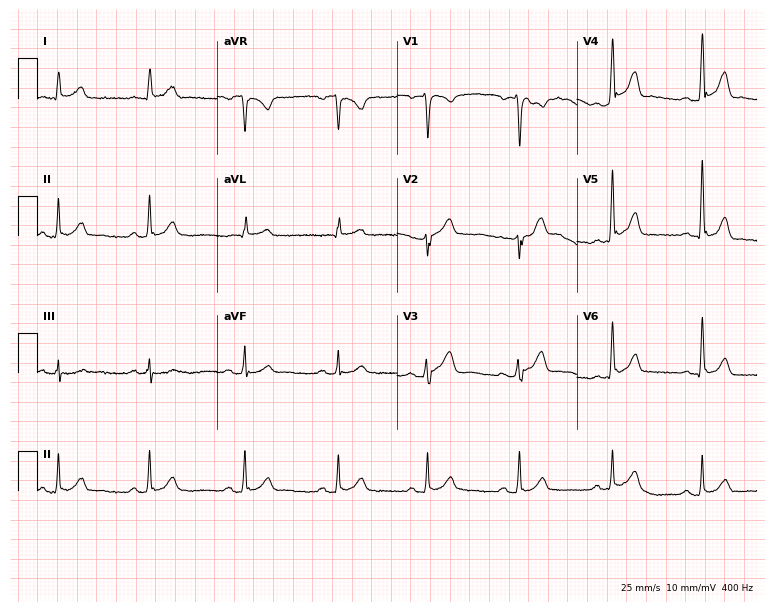
Resting 12-lead electrocardiogram. Patient: a male, 54 years old. None of these six findings is recorded: first-degree AV block, right bundle branch block (RBBB), left bundle branch block (LBBB), sinus bradycardia, atrial fibrillation (AF), sinus tachycardia.